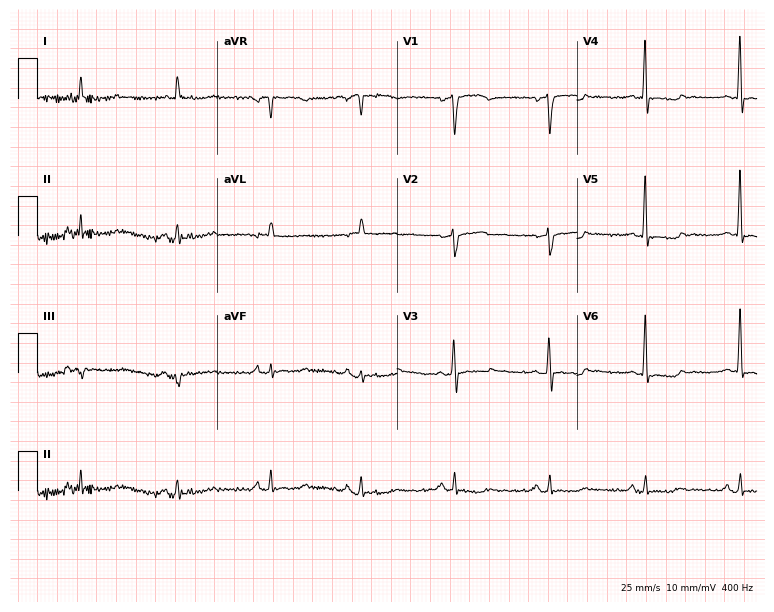
12-lead ECG from a woman, 73 years old (7.3-second recording at 400 Hz). No first-degree AV block, right bundle branch block, left bundle branch block, sinus bradycardia, atrial fibrillation or sinus tachycardia recorded for this tracing. Findings outside these six are not listed.